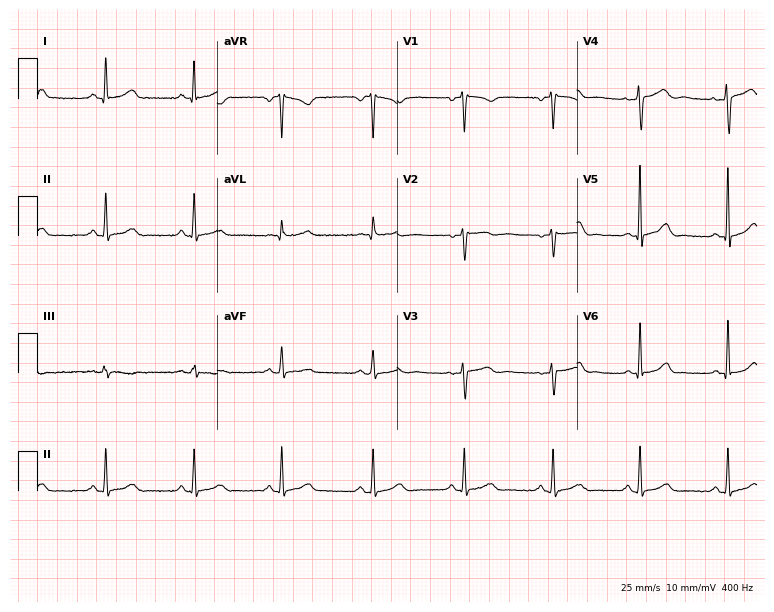
Resting 12-lead electrocardiogram. Patient: a male, 24 years old. None of these six findings is recorded: first-degree AV block, right bundle branch block, left bundle branch block, sinus bradycardia, atrial fibrillation, sinus tachycardia.